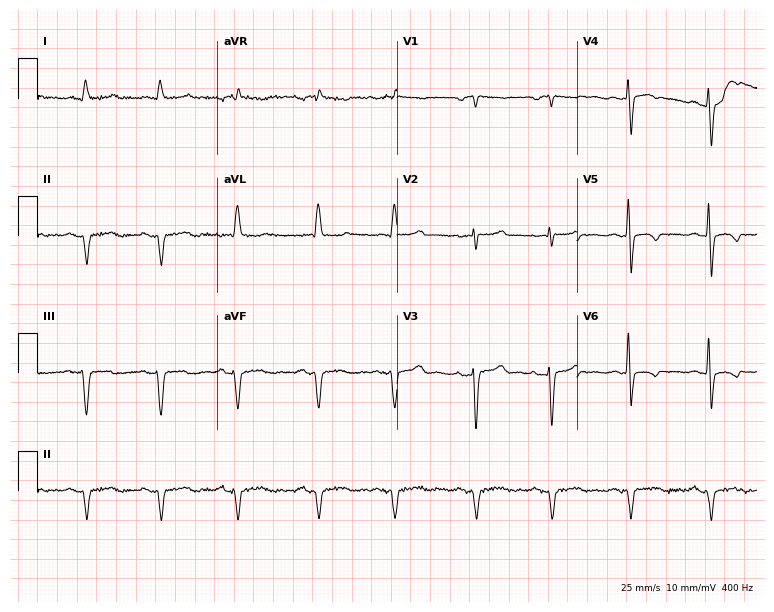
ECG (7.3-second recording at 400 Hz) — a male patient, 75 years old. Screened for six findings — first-degree AV block, right bundle branch block, left bundle branch block, sinus bradycardia, atrial fibrillation, sinus tachycardia — none is recorded.